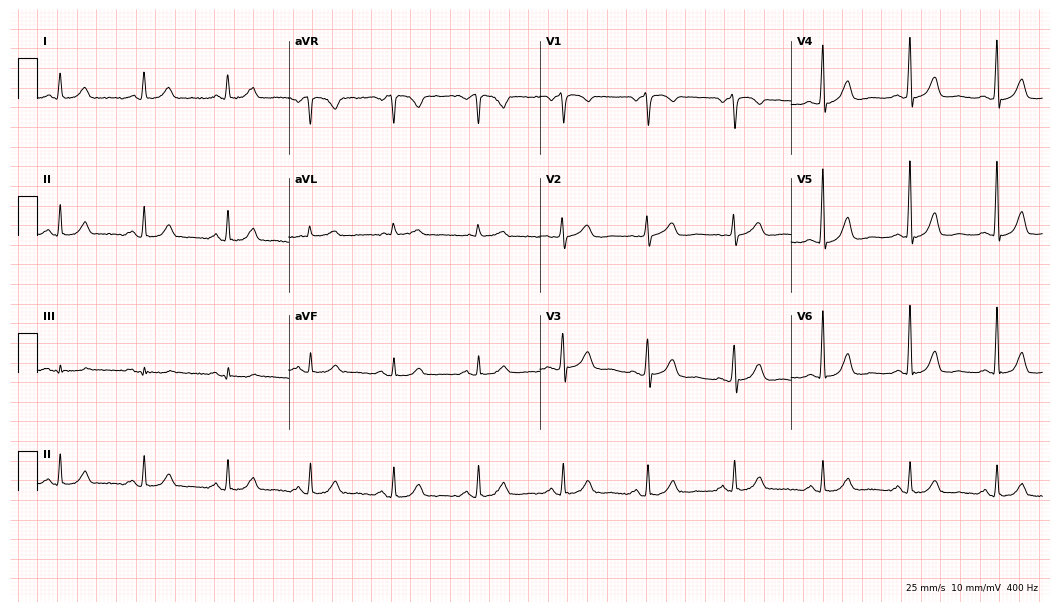
12-lead ECG from a 74-year-old man. Labelled as a normal ECG.